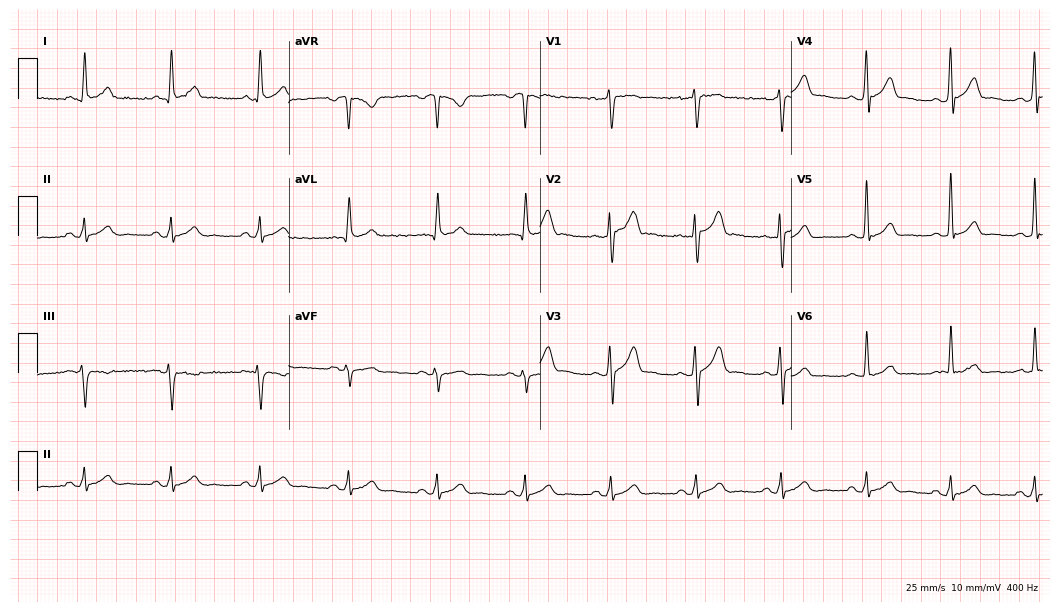
Electrocardiogram (10.2-second recording at 400 Hz), a 24-year-old male. Of the six screened findings (first-degree AV block, right bundle branch block, left bundle branch block, sinus bradycardia, atrial fibrillation, sinus tachycardia), none is recorded. Findings outside these six are not listed.